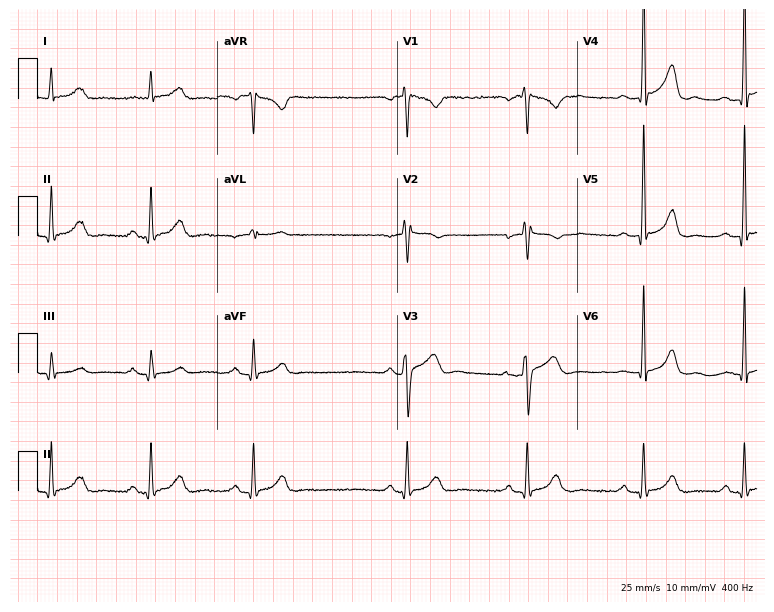
Standard 12-lead ECG recorded from a 37-year-old male. Read as a normal ECG.